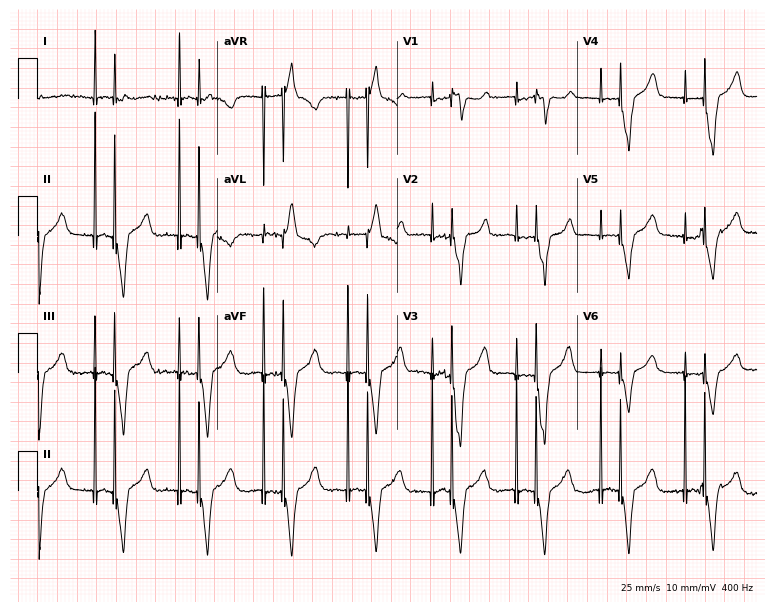
ECG — a male, 78 years old. Screened for six findings — first-degree AV block, right bundle branch block, left bundle branch block, sinus bradycardia, atrial fibrillation, sinus tachycardia — none is recorded.